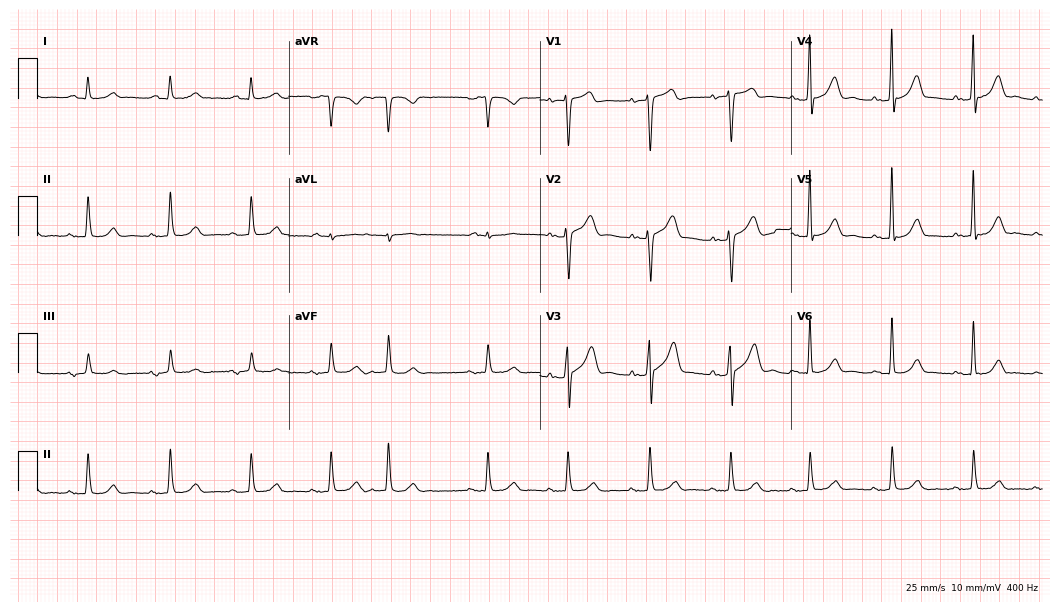
Standard 12-lead ECG recorded from a male patient, 74 years old (10.2-second recording at 400 Hz). None of these six findings is recorded: first-degree AV block, right bundle branch block, left bundle branch block, sinus bradycardia, atrial fibrillation, sinus tachycardia. Other findings, if any, are not listed.